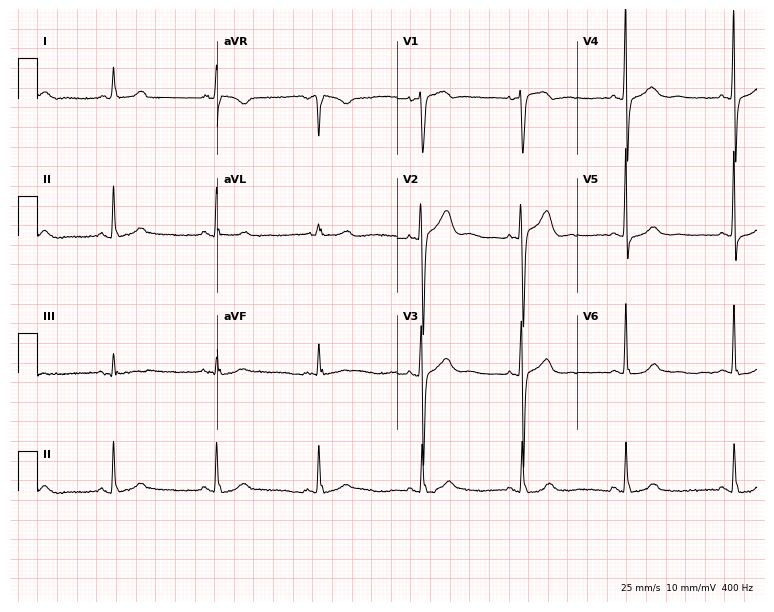
ECG (7.3-second recording at 400 Hz) — a 60-year-old female. Labelled as a normal ECG.